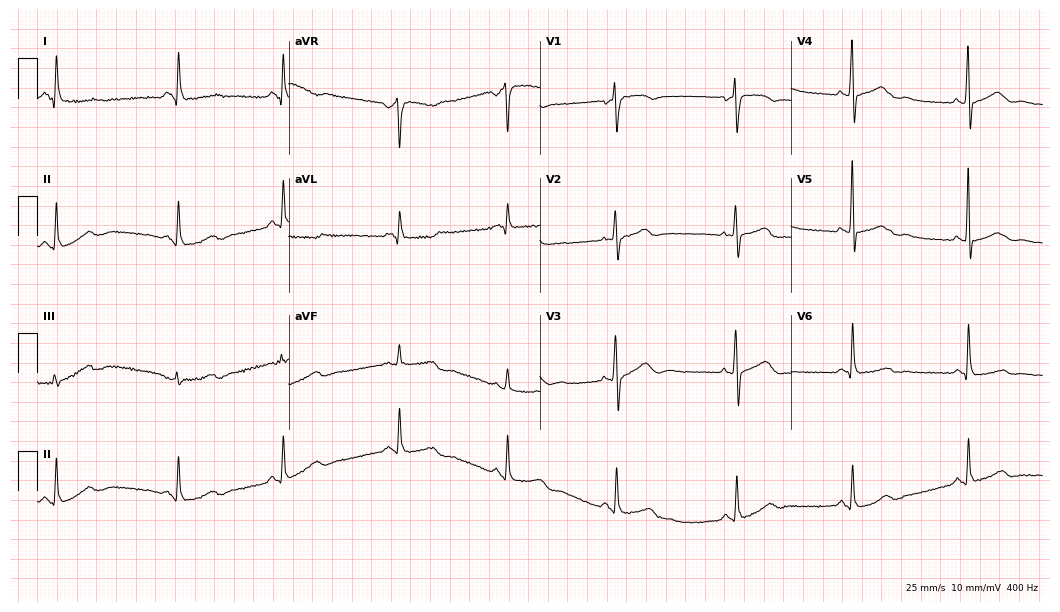
ECG (10.2-second recording at 400 Hz) — a 56-year-old female. Labelled as a normal ECG.